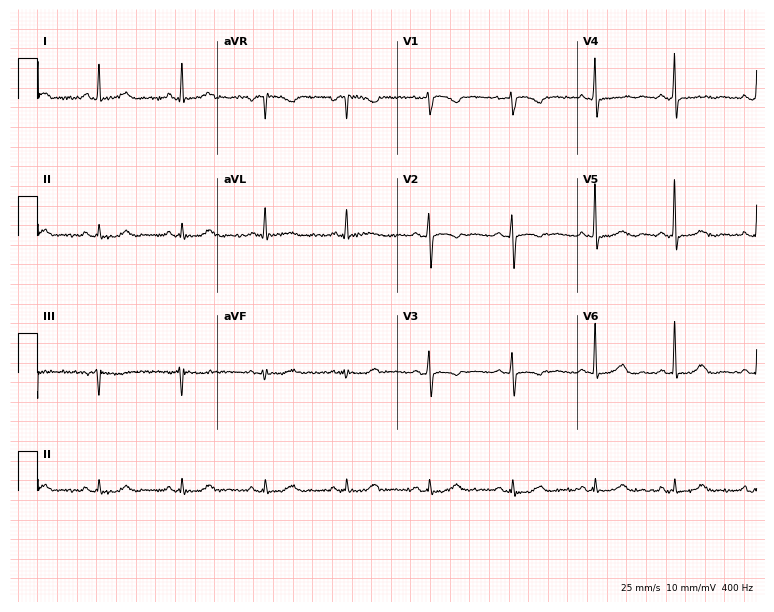
Resting 12-lead electrocardiogram. Patient: a 58-year-old female. None of these six findings is recorded: first-degree AV block, right bundle branch block, left bundle branch block, sinus bradycardia, atrial fibrillation, sinus tachycardia.